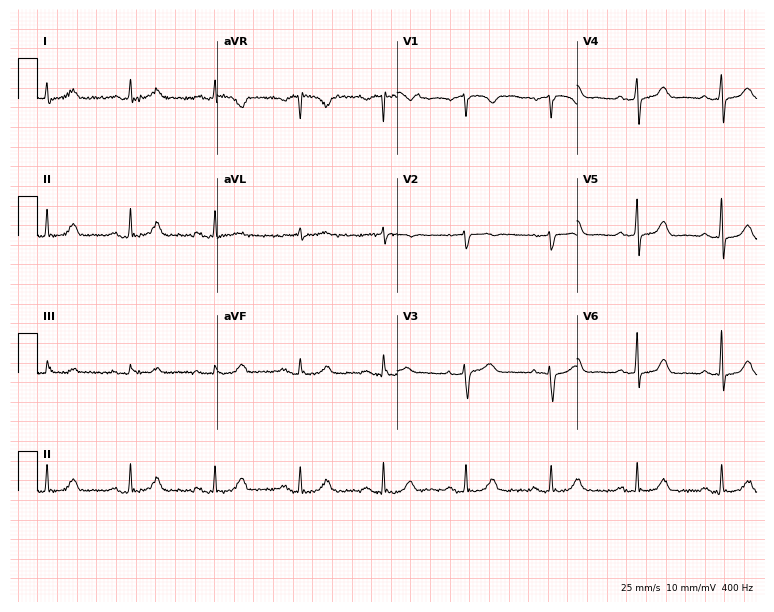
Standard 12-lead ECG recorded from a female, 63 years old (7.3-second recording at 400 Hz). Read as a normal ECG.